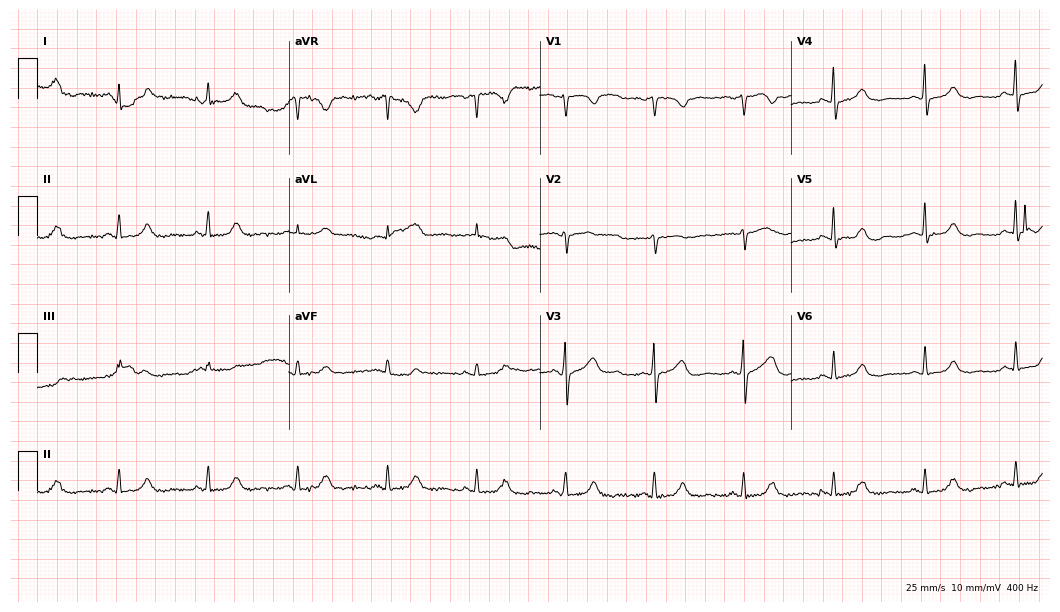
ECG (10.2-second recording at 400 Hz) — a woman, 62 years old. Labelled as a normal ECG.